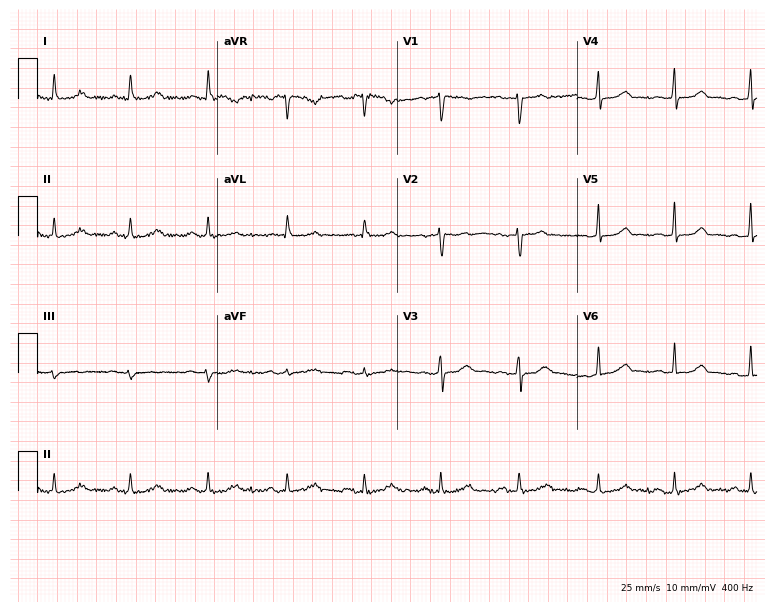
12-lead ECG from a woman, 30 years old. Screened for six findings — first-degree AV block, right bundle branch block (RBBB), left bundle branch block (LBBB), sinus bradycardia, atrial fibrillation (AF), sinus tachycardia — none is recorded.